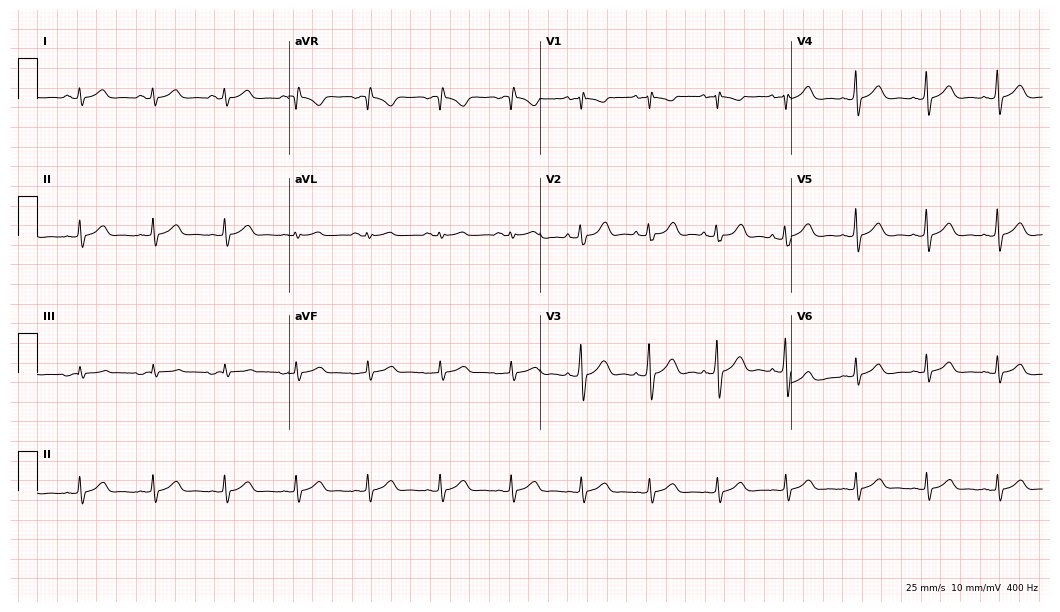
Standard 12-lead ECG recorded from a woman, 20 years old (10.2-second recording at 400 Hz). Read as a normal ECG.